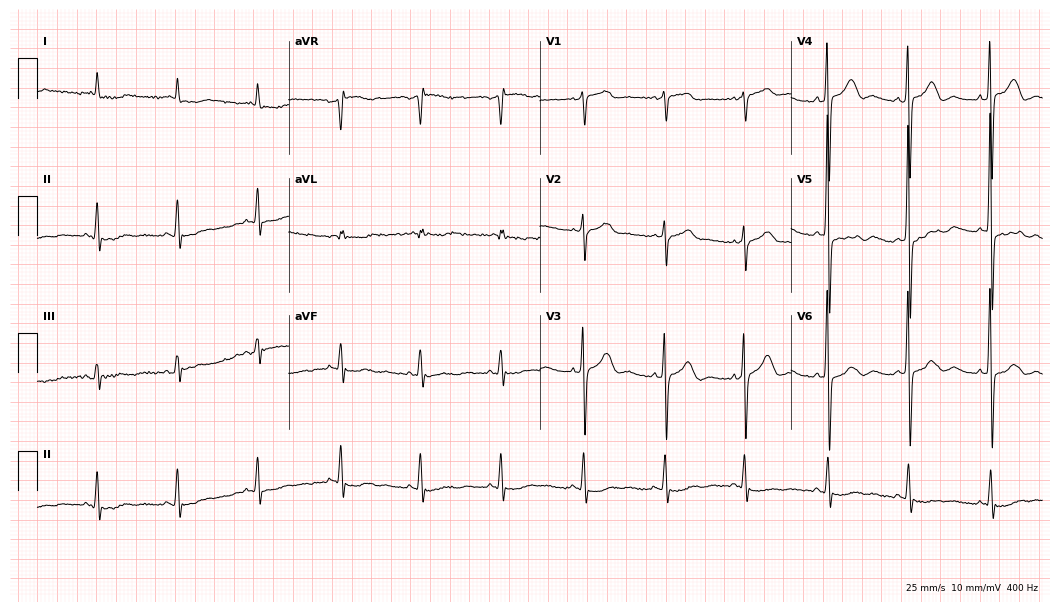
12-lead ECG from a female, 82 years old. Screened for six findings — first-degree AV block, right bundle branch block, left bundle branch block, sinus bradycardia, atrial fibrillation, sinus tachycardia — none is recorded. Other findings, if any, are not listed.